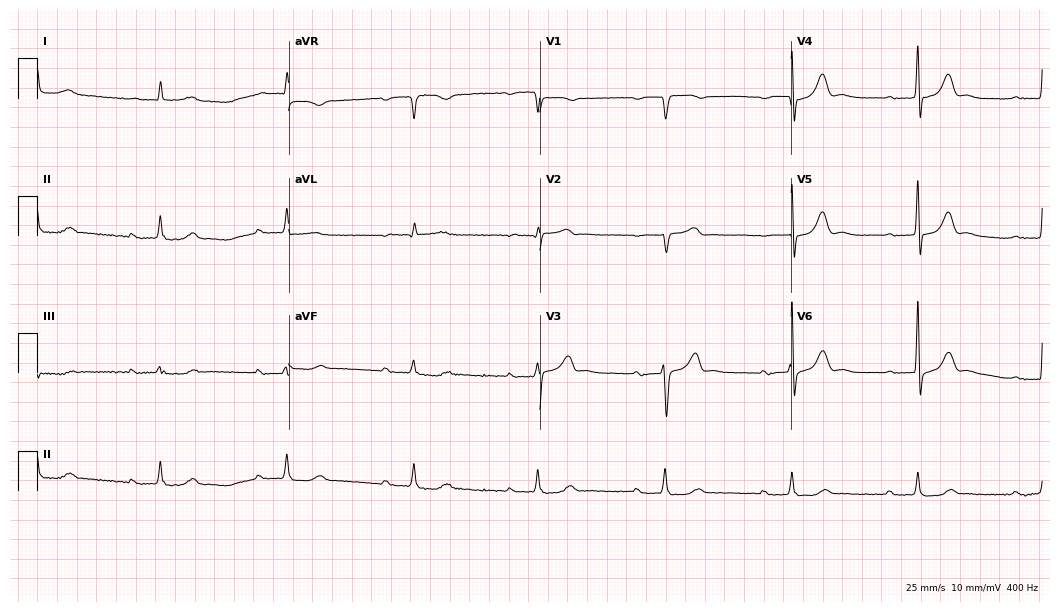
12-lead ECG (10.2-second recording at 400 Hz) from an 84-year-old man. Findings include first-degree AV block, sinus bradycardia (a sinus rate of 50 beats per minute or less).